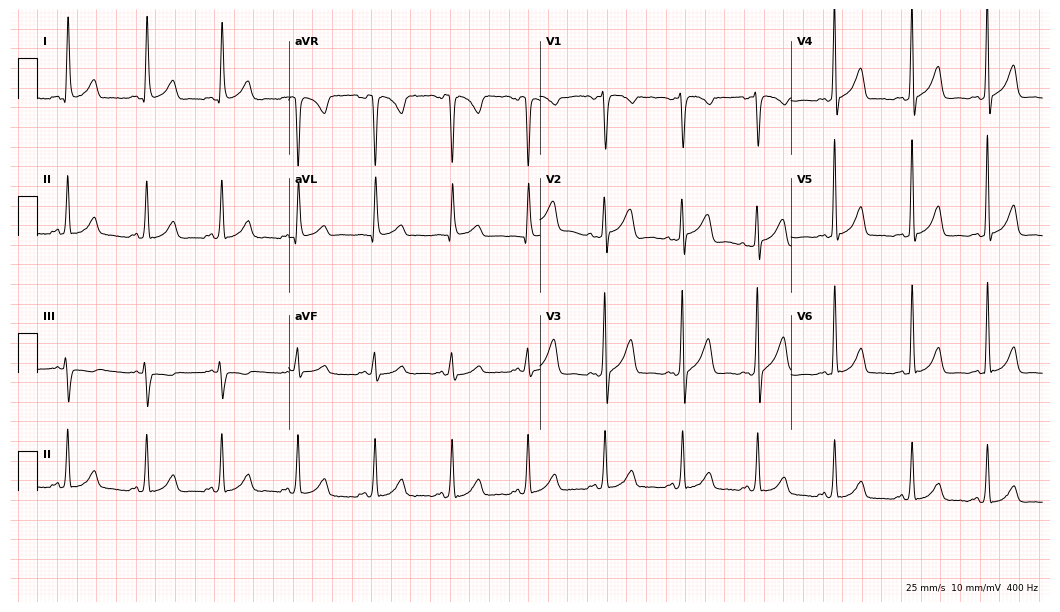
Electrocardiogram, a woman, 39 years old. Overall reading on record: normal ECG.